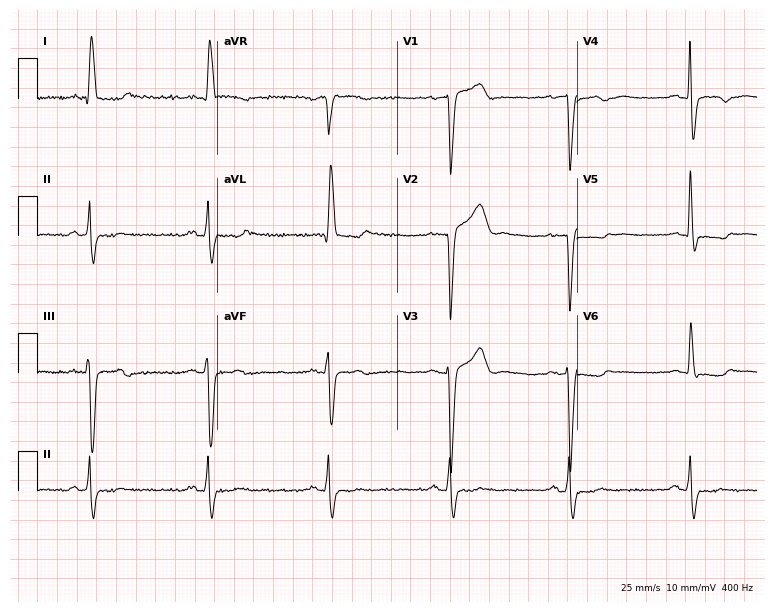
Electrocardiogram, an 80-year-old female. Interpretation includes left bundle branch block, sinus bradycardia (a sinus rate of 50 beats per minute or less).